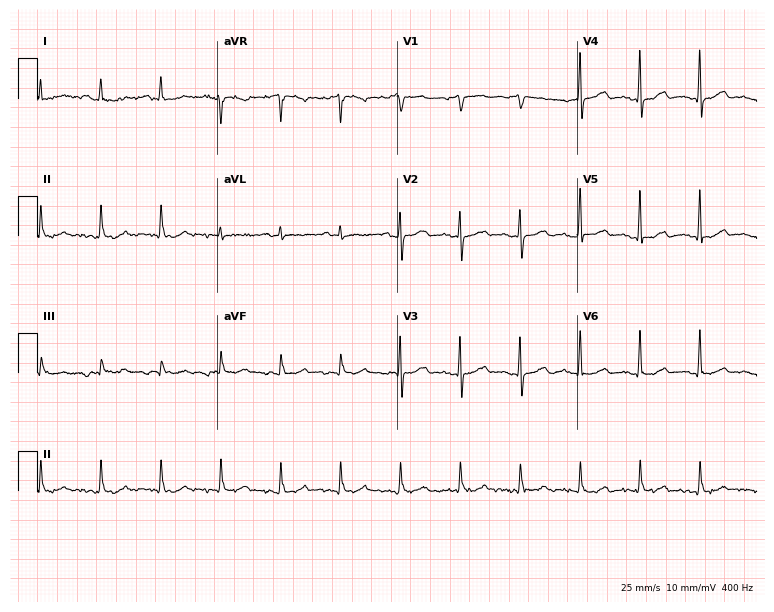
12-lead ECG (7.3-second recording at 400 Hz) from a woman, 61 years old. Screened for six findings — first-degree AV block, right bundle branch block, left bundle branch block, sinus bradycardia, atrial fibrillation, sinus tachycardia — none is recorded. Findings outside these six are not listed.